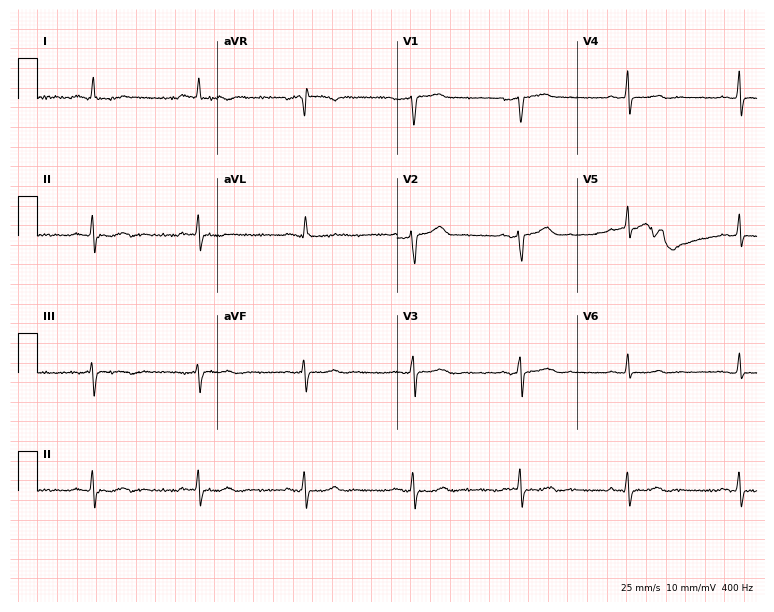
Resting 12-lead electrocardiogram (7.3-second recording at 400 Hz). Patient: a 61-year-old female. None of these six findings is recorded: first-degree AV block, right bundle branch block, left bundle branch block, sinus bradycardia, atrial fibrillation, sinus tachycardia. Only these six findings were labelled.